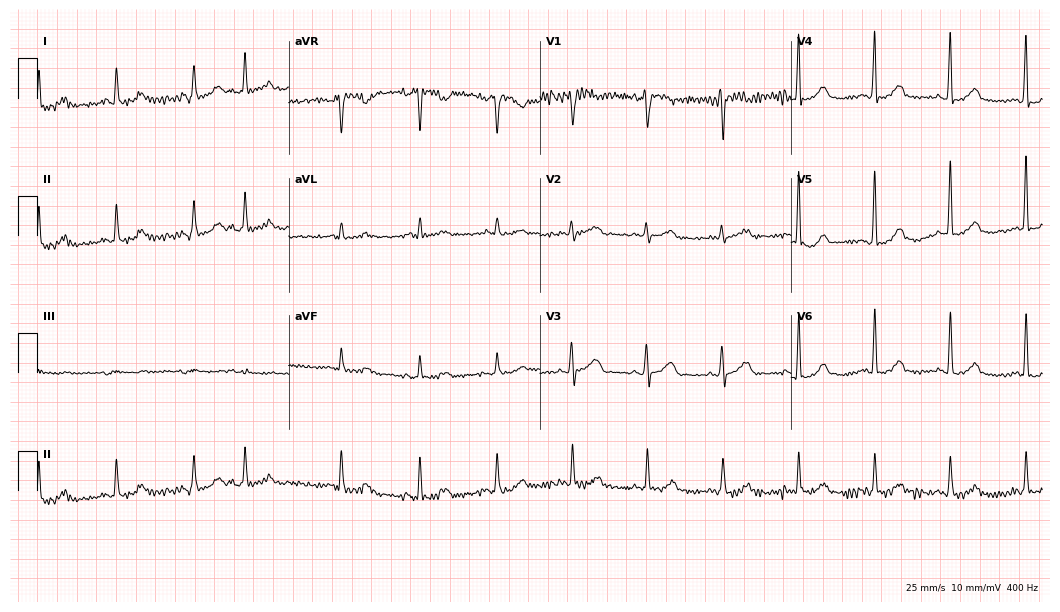
Electrocardiogram, a 64-year-old female. Of the six screened findings (first-degree AV block, right bundle branch block (RBBB), left bundle branch block (LBBB), sinus bradycardia, atrial fibrillation (AF), sinus tachycardia), none is recorded.